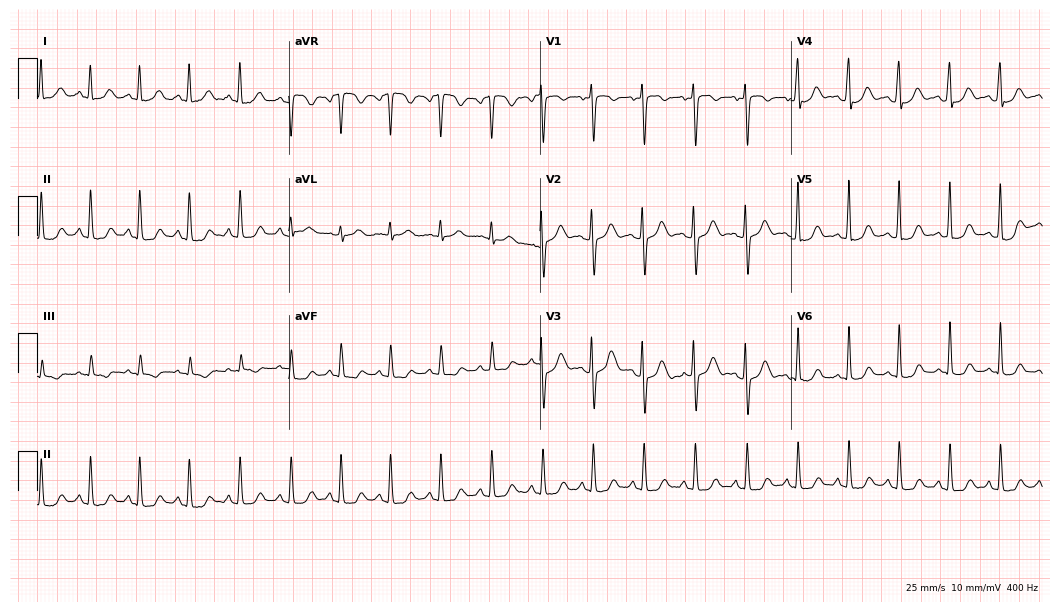
12-lead ECG from a 20-year-old female. No first-degree AV block, right bundle branch block, left bundle branch block, sinus bradycardia, atrial fibrillation or sinus tachycardia recorded for this tracing.